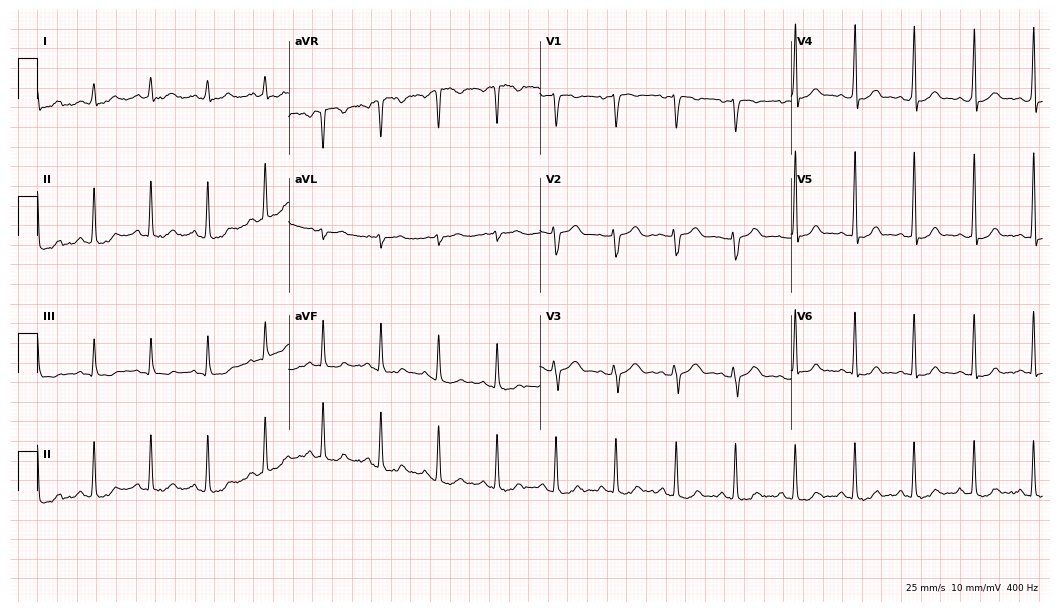
Resting 12-lead electrocardiogram. Patient: a 27-year-old female. Read as a normal ECG.